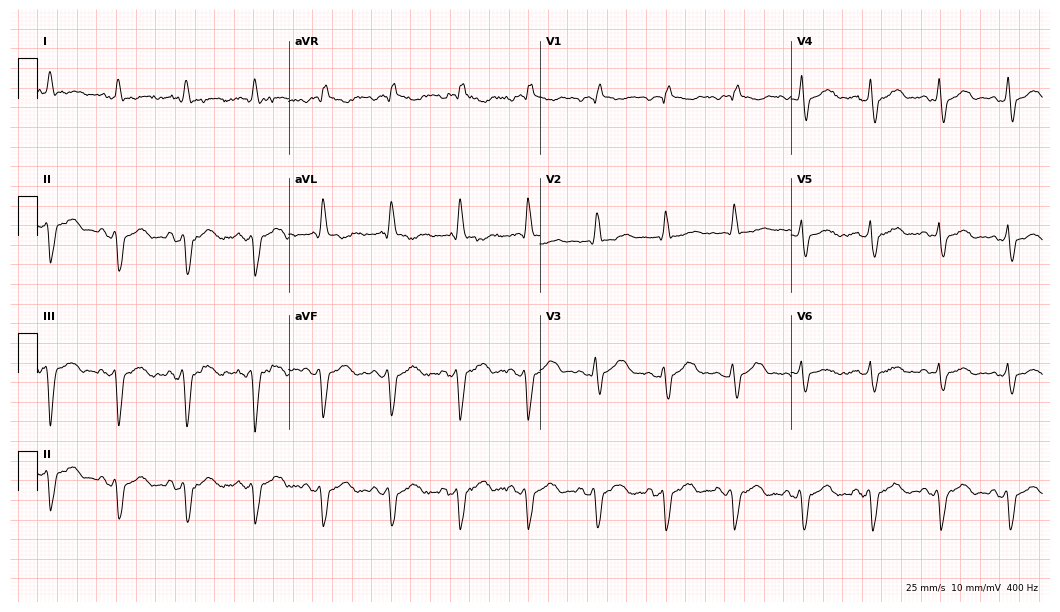
Electrocardiogram, a man, 69 years old. Interpretation includes right bundle branch block, left bundle branch block.